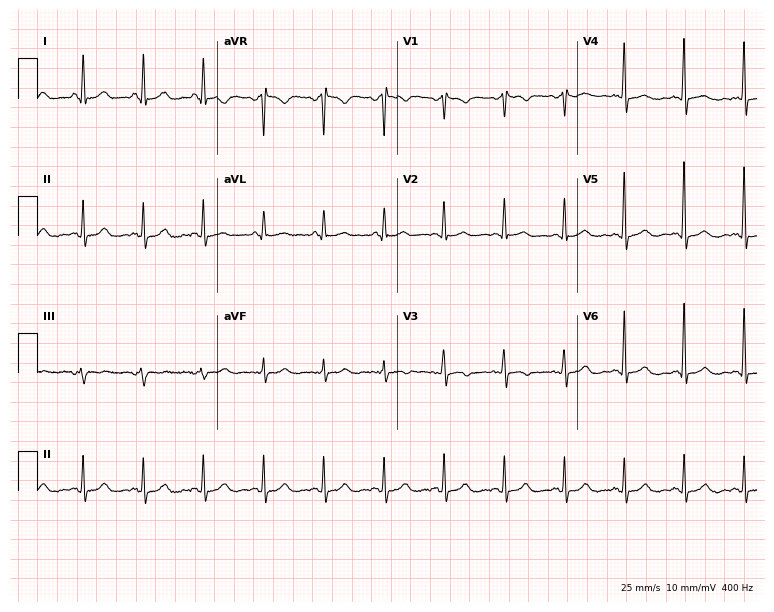
ECG — a woman, 76 years old. Screened for six findings — first-degree AV block, right bundle branch block (RBBB), left bundle branch block (LBBB), sinus bradycardia, atrial fibrillation (AF), sinus tachycardia — none is recorded. Only these six findings were labelled.